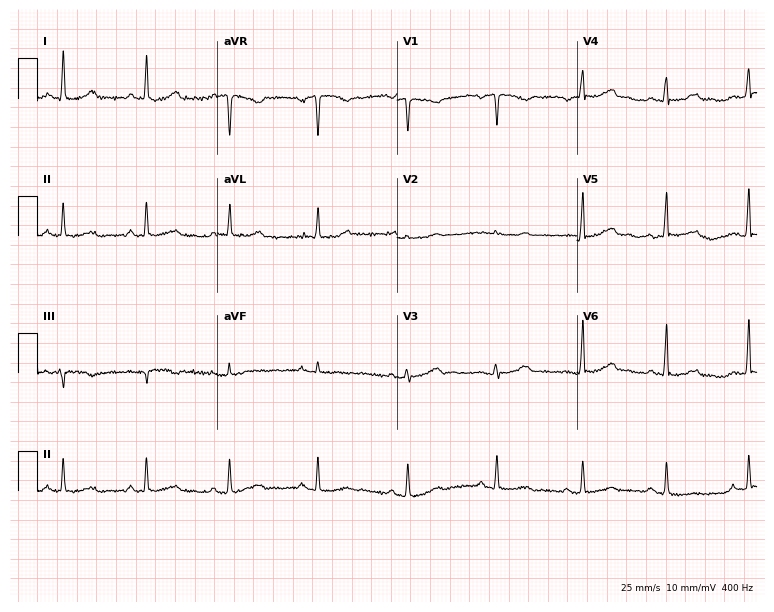
Resting 12-lead electrocardiogram. Patient: a female, 27 years old. Read as a normal ECG.